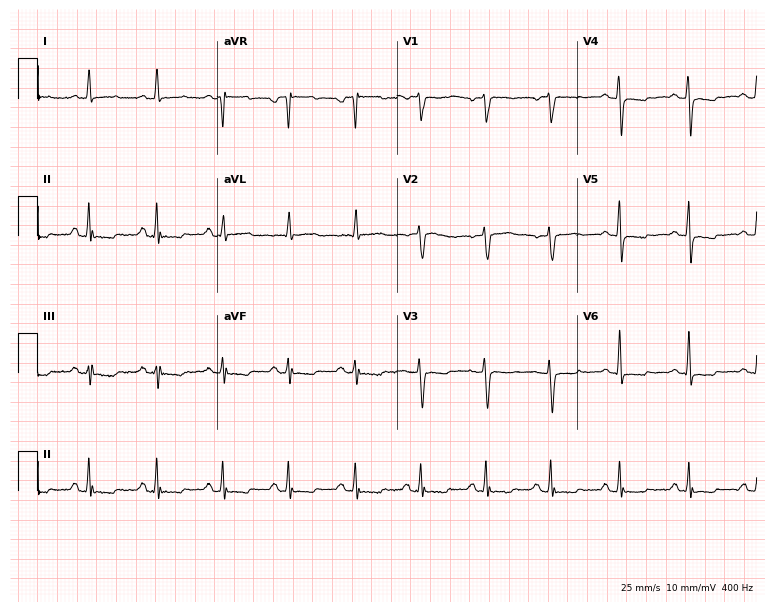
12-lead ECG from a 50-year-old female patient. No first-degree AV block, right bundle branch block, left bundle branch block, sinus bradycardia, atrial fibrillation or sinus tachycardia recorded for this tracing.